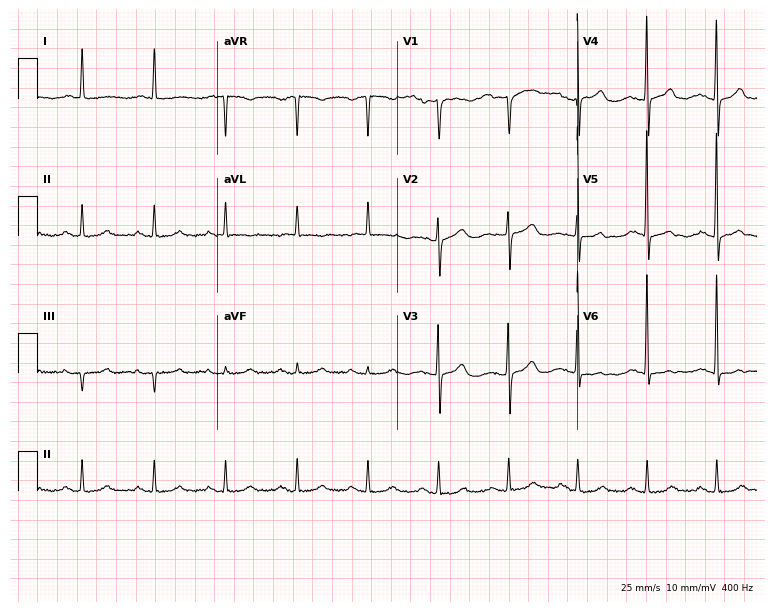
Resting 12-lead electrocardiogram. Patient: a female, 79 years old. Read as a normal ECG.